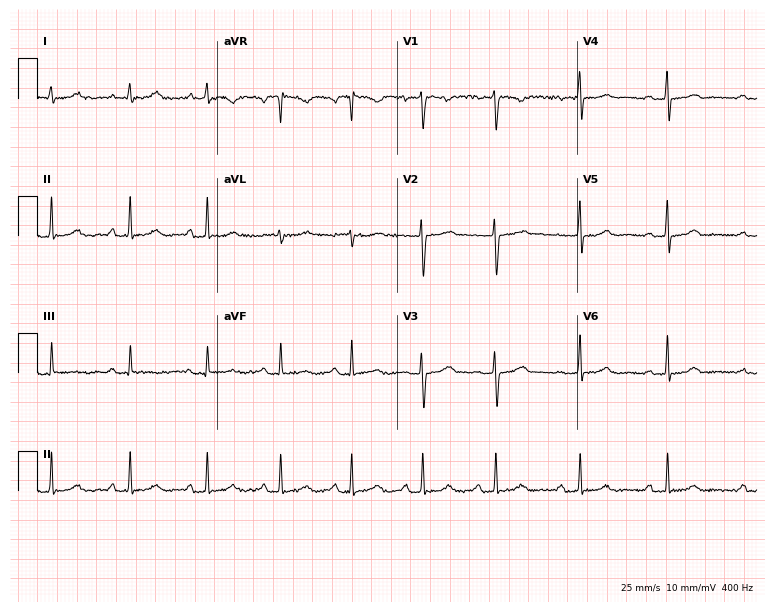
Electrocardiogram, a female, 46 years old. Overall reading on record: normal ECG.